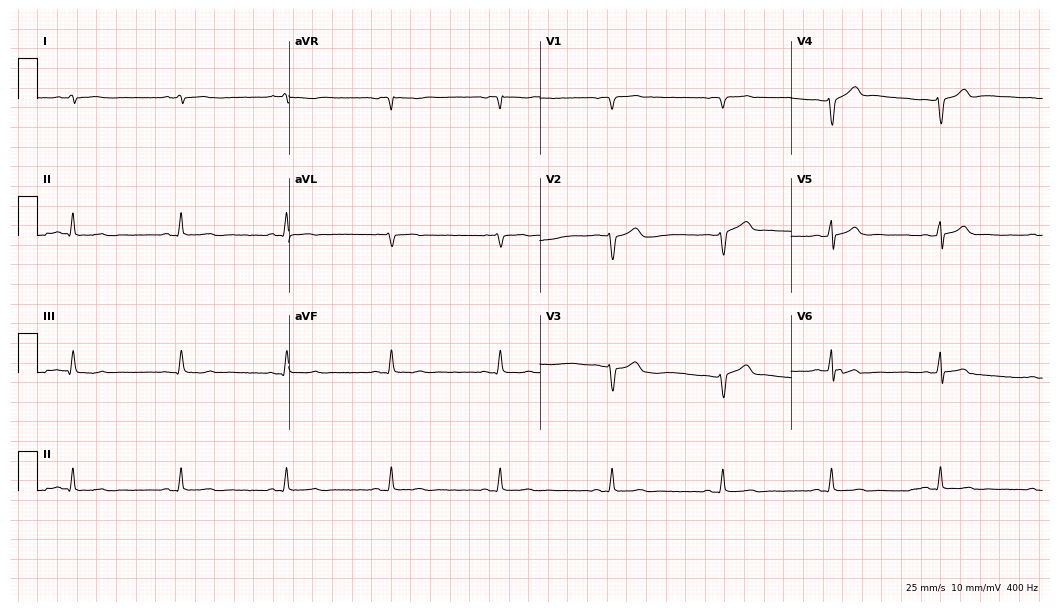
Standard 12-lead ECG recorded from a 33-year-old man. None of these six findings is recorded: first-degree AV block, right bundle branch block, left bundle branch block, sinus bradycardia, atrial fibrillation, sinus tachycardia. Other findings, if any, are not listed.